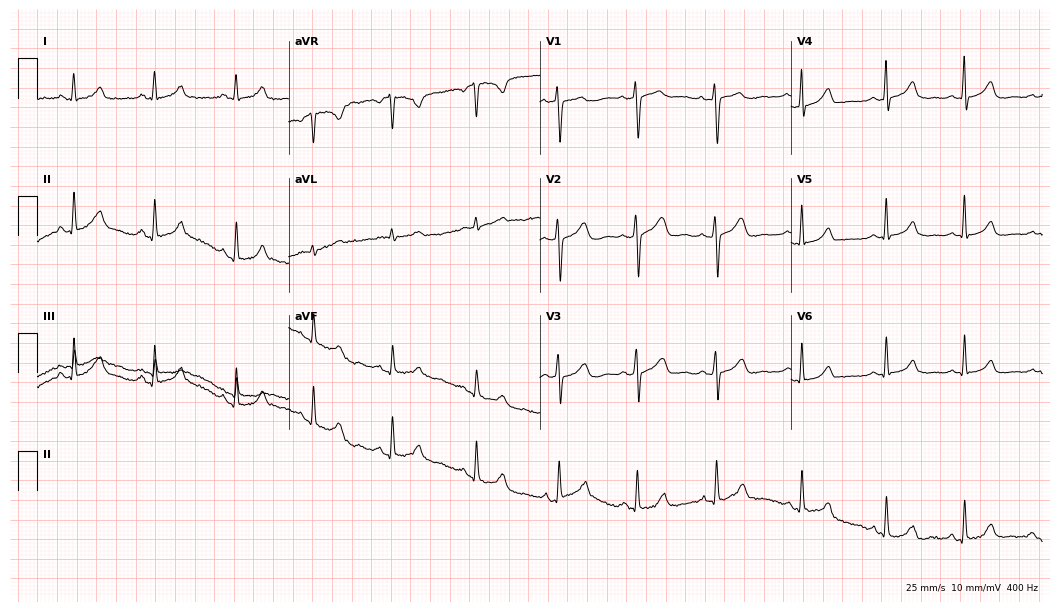
Resting 12-lead electrocardiogram (10.2-second recording at 400 Hz). Patient: a female, 28 years old. Read as a normal ECG.